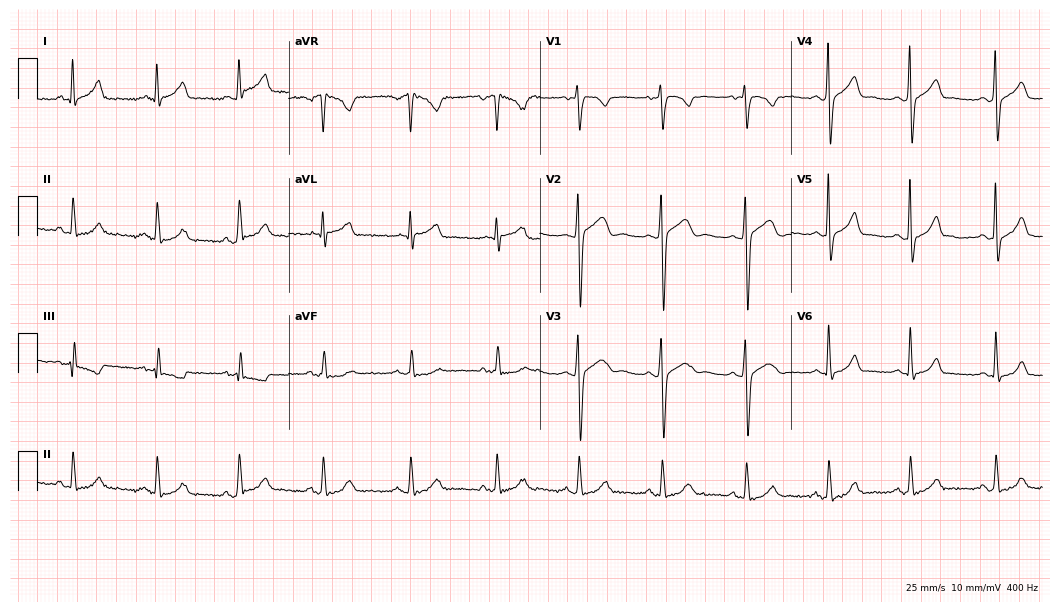
12-lead ECG (10.2-second recording at 400 Hz) from a female, 38 years old. Labelled as a normal ECG.